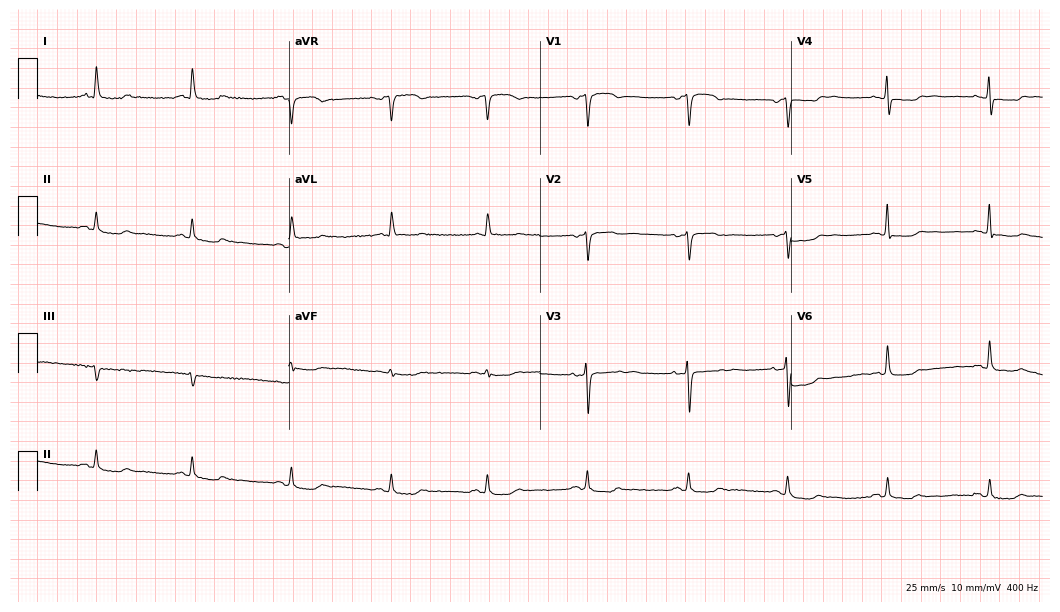
12-lead ECG from a female patient, 80 years old. No first-degree AV block, right bundle branch block (RBBB), left bundle branch block (LBBB), sinus bradycardia, atrial fibrillation (AF) or sinus tachycardia recorded for this tracing.